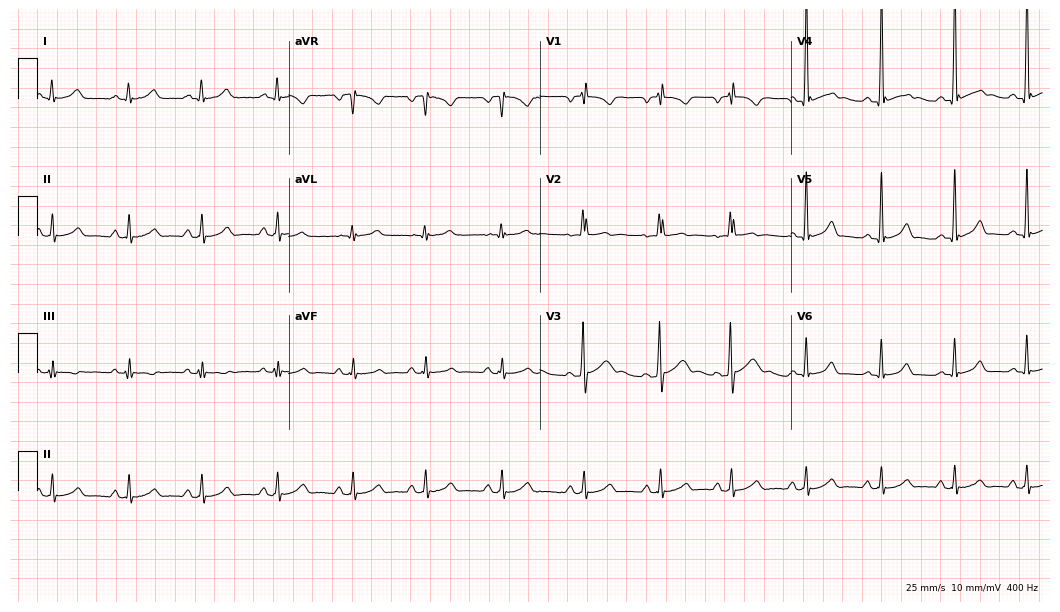
ECG (10.2-second recording at 400 Hz) — a male patient, 22 years old. Screened for six findings — first-degree AV block, right bundle branch block, left bundle branch block, sinus bradycardia, atrial fibrillation, sinus tachycardia — none is recorded.